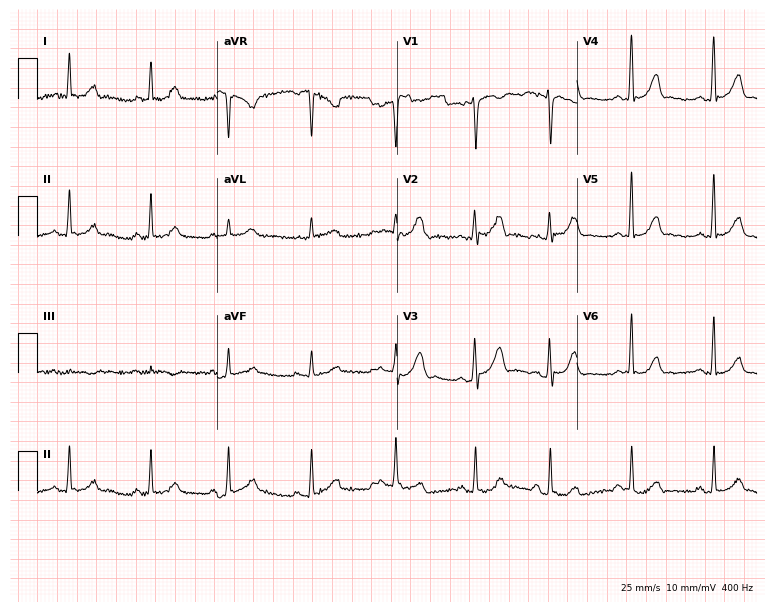
12-lead ECG from a 43-year-old woman (7.3-second recording at 400 Hz). Recorded interpretation: within normal limits.